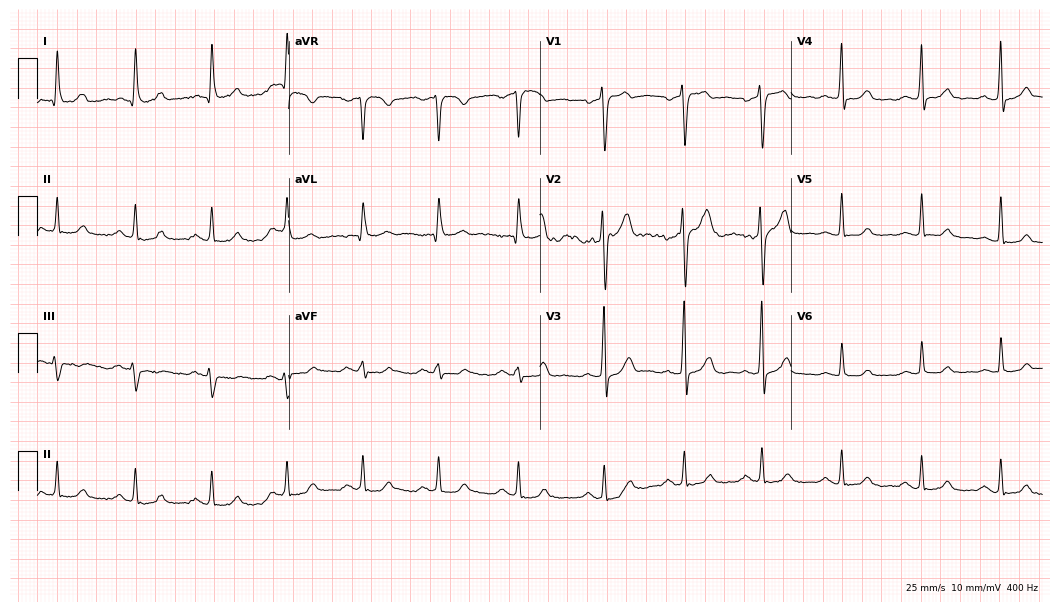
Standard 12-lead ECG recorded from a 50-year-old man. Read as a normal ECG.